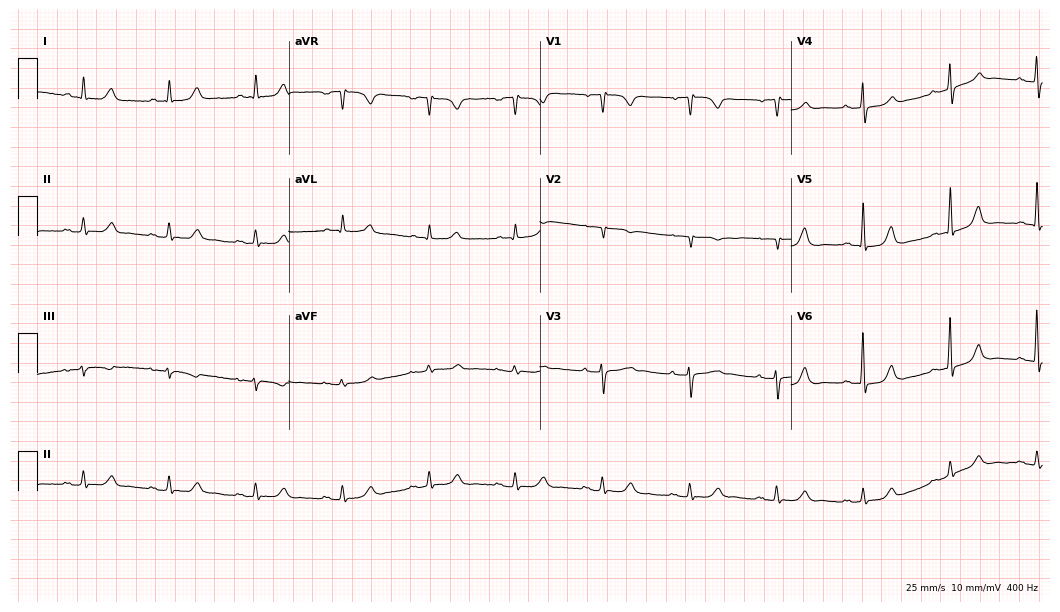
Resting 12-lead electrocardiogram. Patient: a female, 85 years old. None of these six findings is recorded: first-degree AV block, right bundle branch block (RBBB), left bundle branch block (LBBB), sinus bradycardia, atrial fibrillation (AF), sinus tachycardia. Other findings, if any, are not listed.